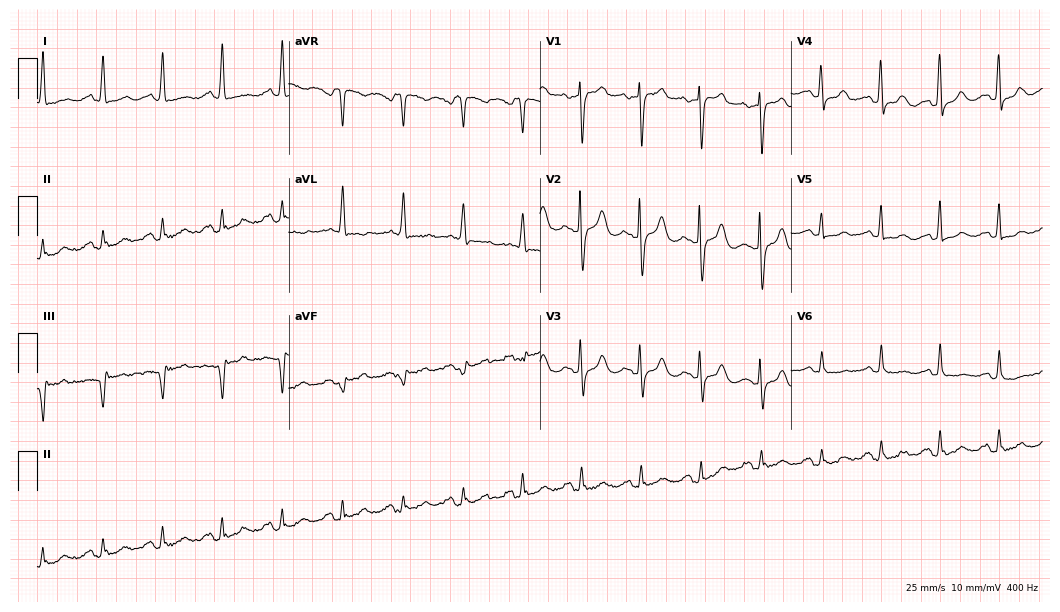
12-lead ECG from a female, 79 years old. No first-degree AV block, right bundle branch block, left bundle branch block, sinus bradycardia, atrial fibrillation or sinus tachycardia recorded for this tracing. Only these six findings were labelled.